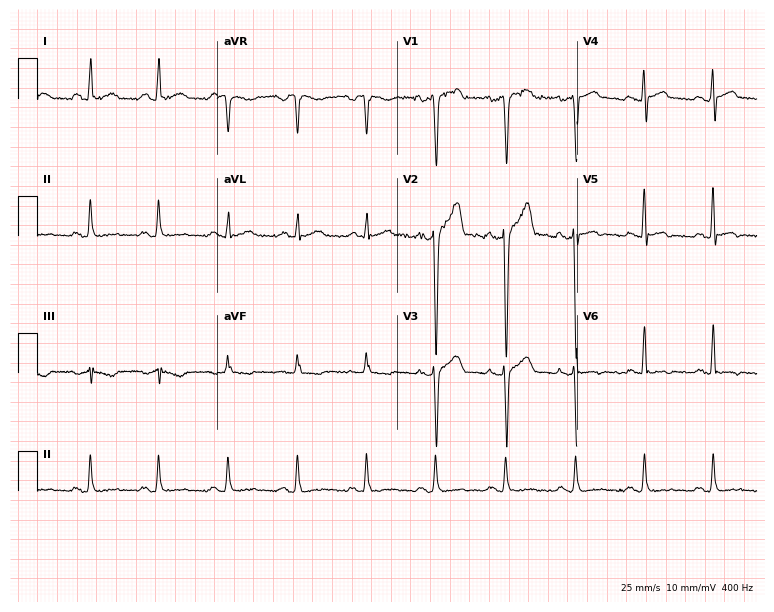
ECG — a 56-year-old man. Screened for six findings — first-degree AV block, right bundle branch block (RBBB), left bundle branch block (LBBB), sinus bradycardia, atrial fibrillation (AF), sinus tachycardia — none is recorded.